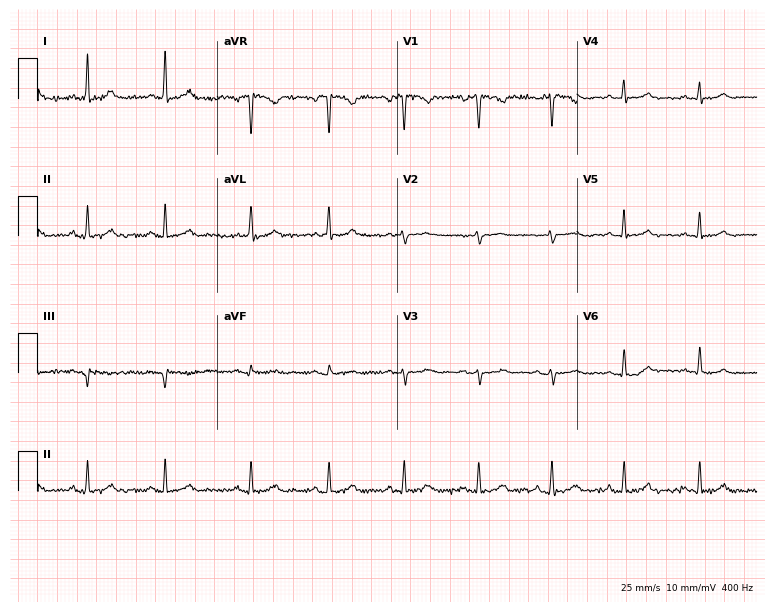
Resting 12-lead electrocardiogram (7.3-second recording at 400 Hz). Patient: a 59-year-old female. None of these six findings is recorded: first-degree AV block, right bundle branch block, left bundle branch block, sinus bradycardia, atrial fibrillation, sinus tachycardia. Only these six findings were labelled.